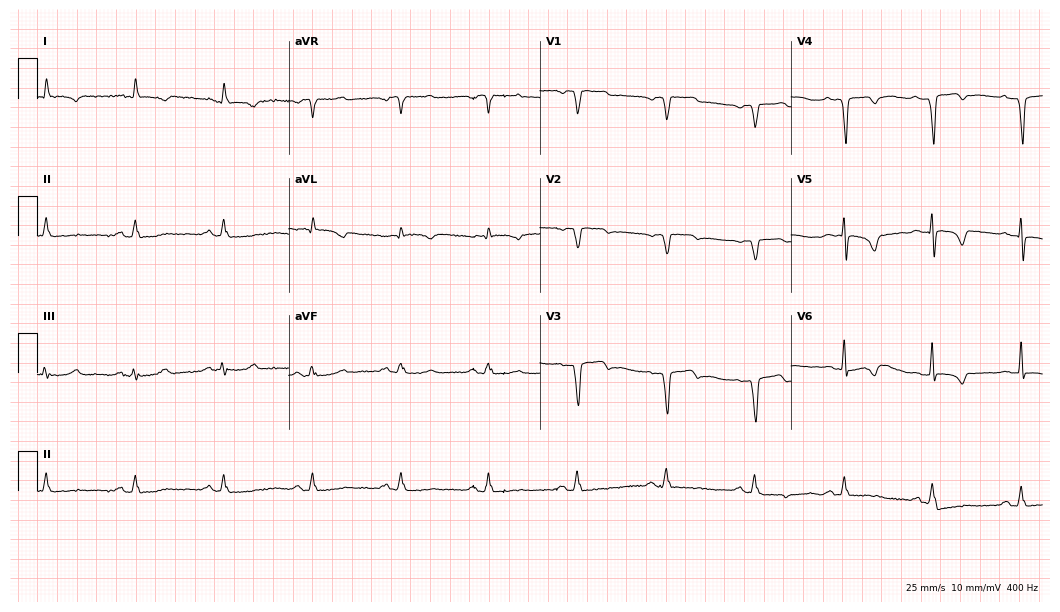
Electrocardiogram (10.2-second recording at 400 Hz), an 81-year-old male. Of the six screened findings (first-degree AV block, right bundle branch block (RBBB), left bundle branch block (LBBB), sinus bradycardia, atrial fibrillation (AF), sinus tachycardia), none is recorded. Only these six findings were labelled.